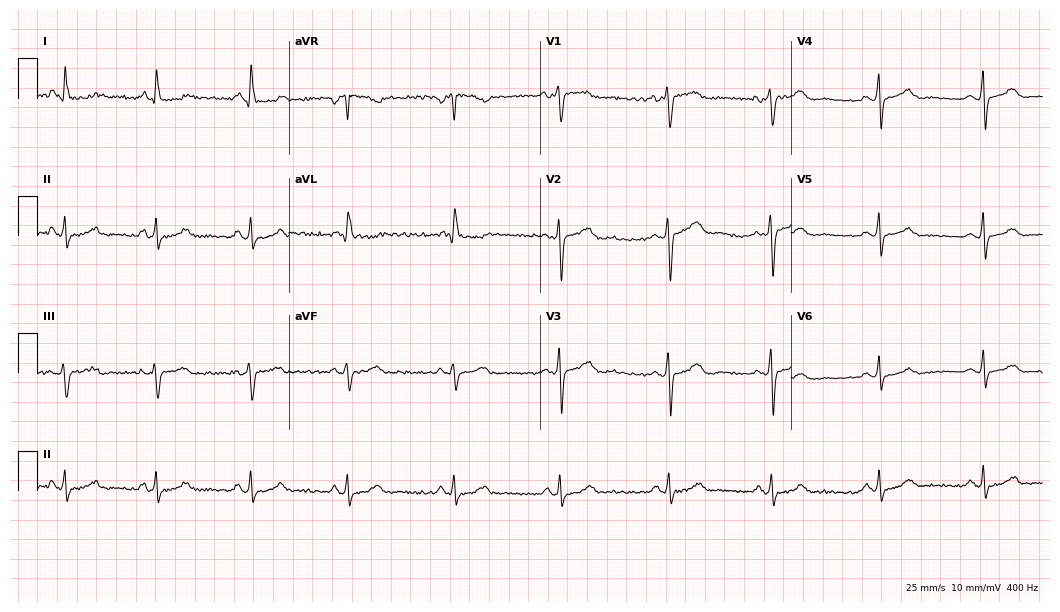
ECG (10.2-second recording at 400 Hz) — a 31-year-old female. Labelled as a normal ECG.